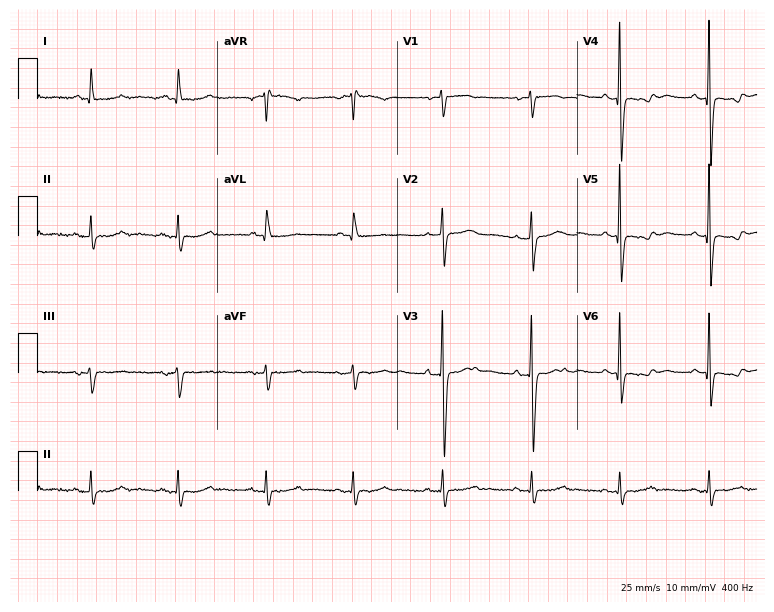
12-lead ECG from a 74-year-old female patient. No first-degree AV block, right bundle branch block, left bundle branch block, sinus bradycardia, atrial fibrillation or sinus tachycardia recorded for this tracing.